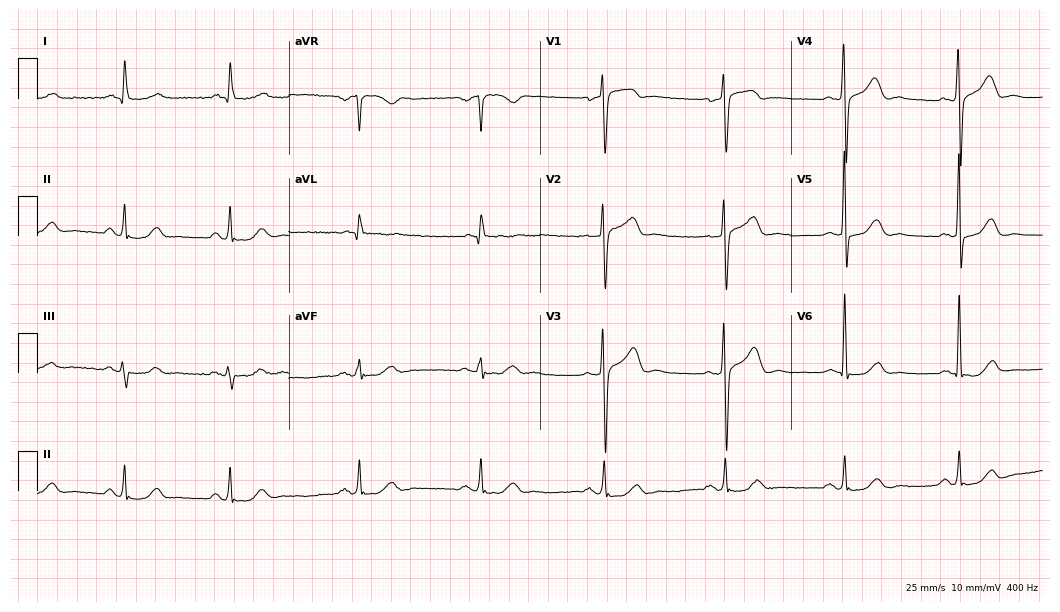
12-lead ECG from a 76-year-old man. Labelled as a normal ECG.